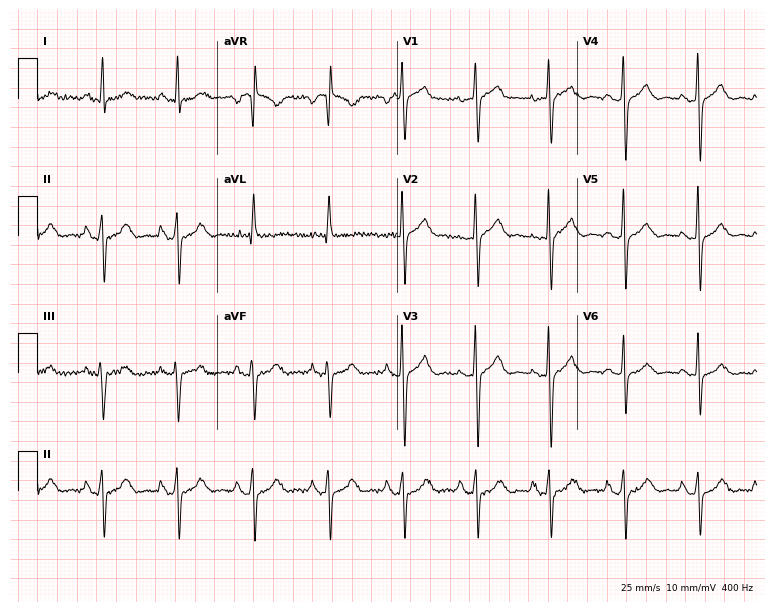
12-lead ECG from an 80-year-old female patient (7.3-second recording at 400 Hz). No first-degree AV block, right bundle branch block, left bundle branch block, sinus bradycardia, atrial fibrillation or sinus tachycardia recorded for this tracing. Findings outside these six are not listed.